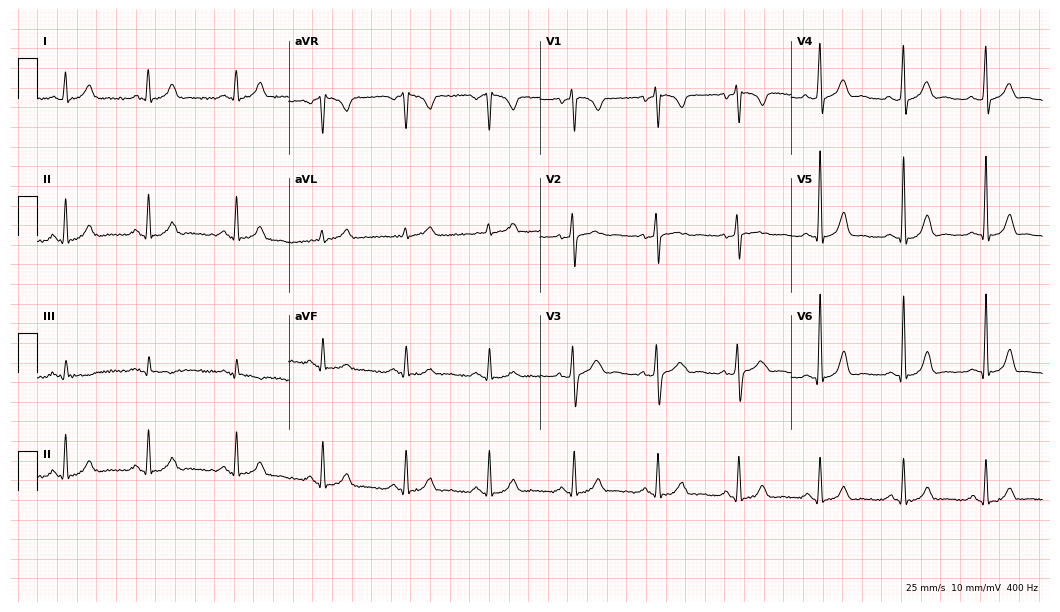
12-lead ECG from a male patient, 37 years old (10.2-second recording at 400 Hz). No first-degree AV block, right bundle branch block, left bundle branch block, sinus bradycardia, atrial fibrillation or sinus tachycardia recorded for this tracing. Findings outside these six are not listed.